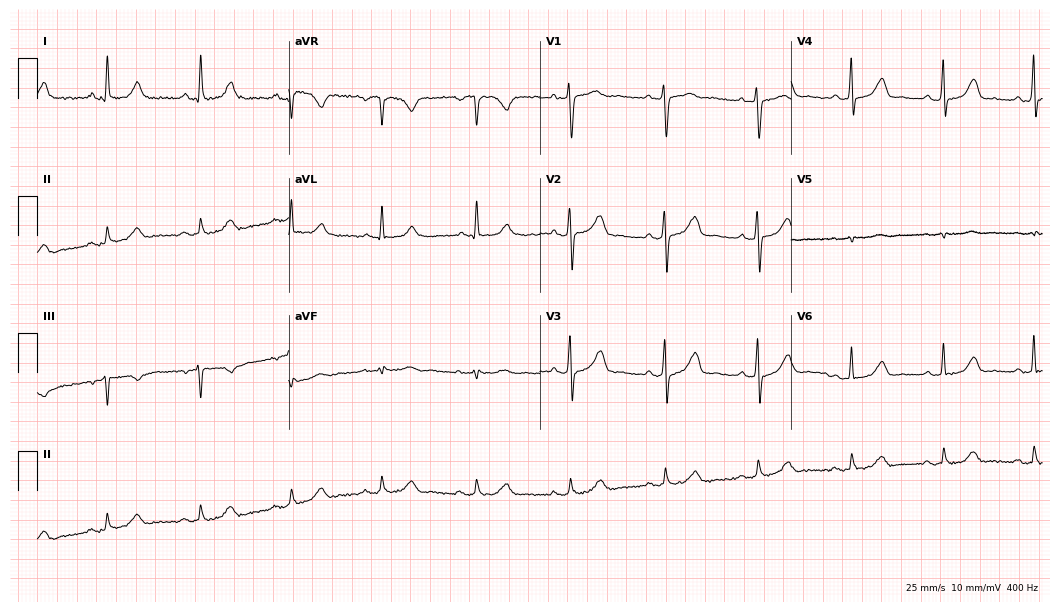
Resting 12-lead electrocardiogram (10.2-second recording at 400 Hz). Patient: a female, 65 years old. Read as a normal ECG.